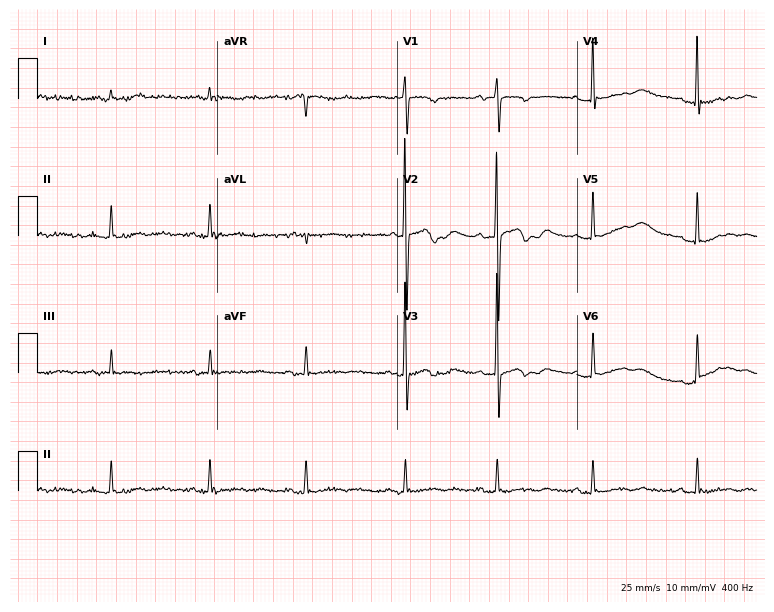
12-lead ECG from an 85-year-old female. No first-degree AV block, right bundle branch block (RBBB), left bundle branch block (LBBB), sinus bradycardia, atrial fibrillation (AF) or sinus tachycardia recorded for this tracing. Findings outside these six are not listed.